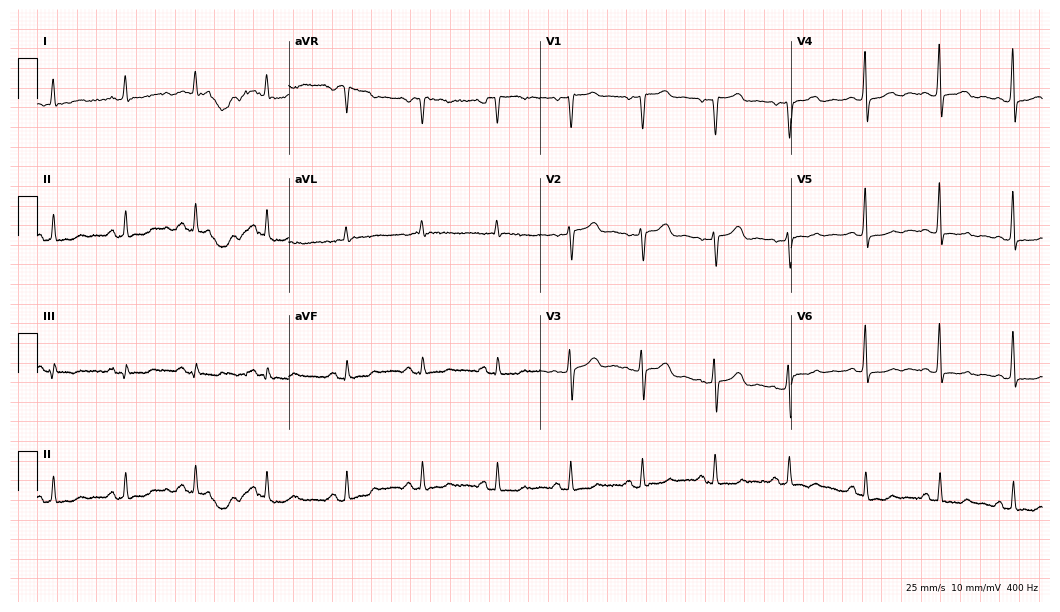
Electrocardiogram, a female, 56 years old. Of the six screened findings (first-degree AV block, right bundle branch block, left bundle branch block, sinus bradycardia, atrial fibrillation, sinus tachycardia), none is recorded.